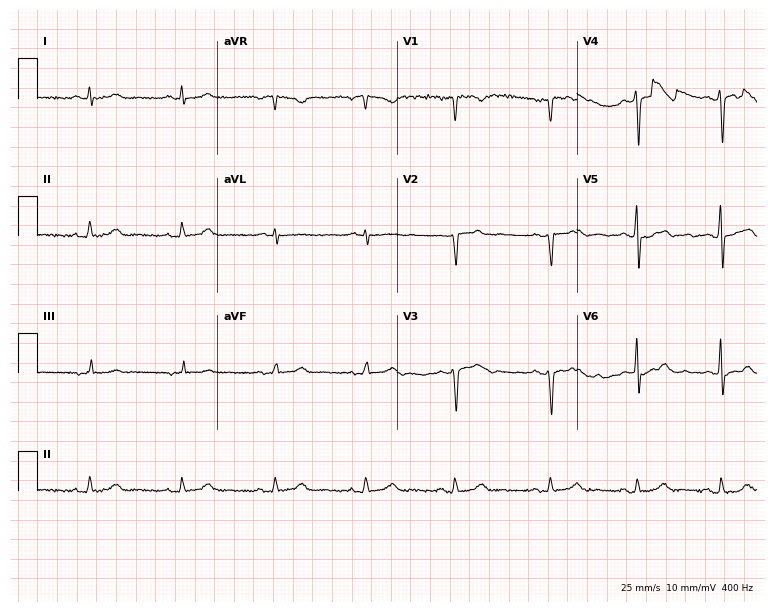
12-lead ECG (7.3-second recording at 400 Hz) from a 63-year-old man. Screened for six findings — first-degree AV block, right bundle branch block, left bundle branch block, sinus bradycardia, atrial fibrillation, sinus tachycardia — none is recorded. Other findings, if any, are not listed.